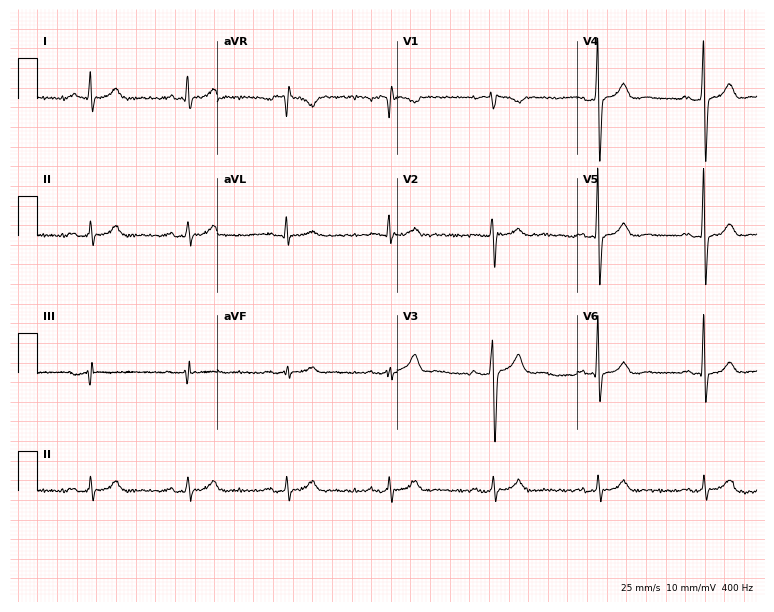
12-lead ECG (7.3-second recording at 400 Hz) from a male patient, 48 years old. Labelled as a normal ECG.